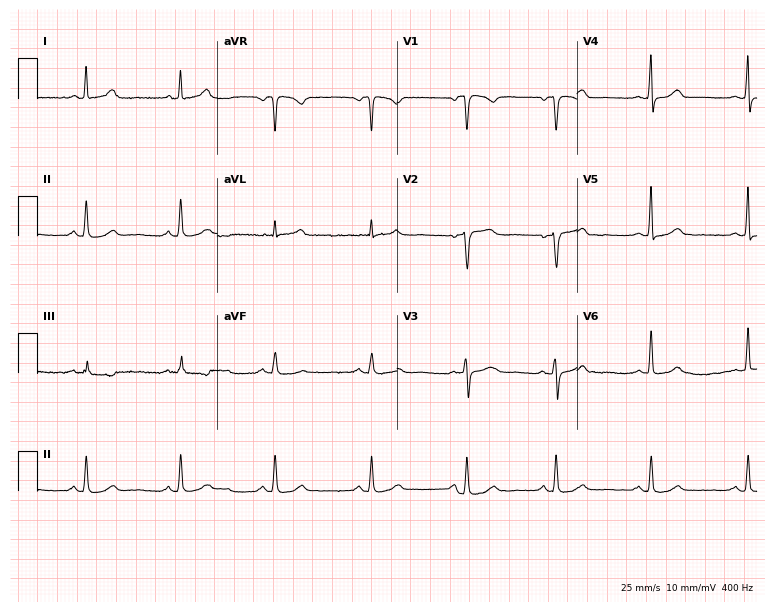
ECG (7.3-second recording at 400 Hz) — a female patient, 47 years old. Screened for six findings — first-degree AV block, right bundle branch block (RBBB), left bundle branch block (LBBB), sinus bradycardia, atrial fibrillation (AF), sinus tachycardia — none is recorded. Only these six findings were labelled.